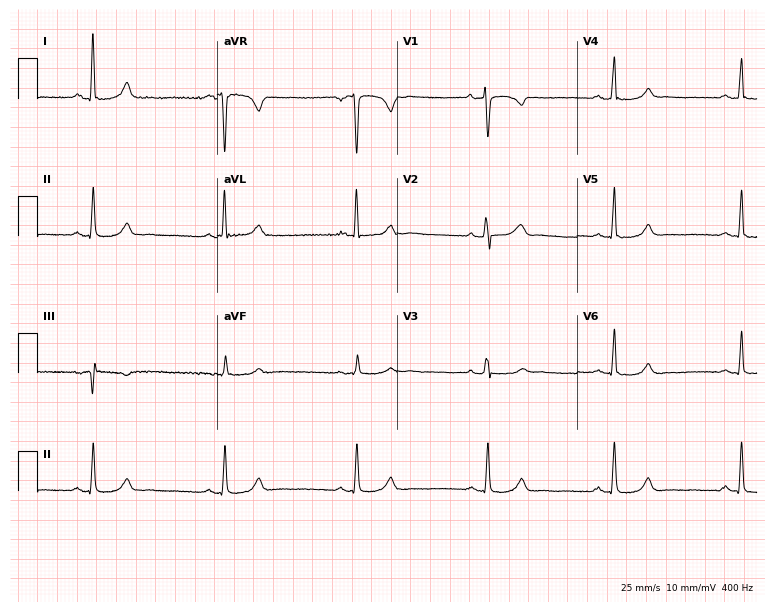
ECG (7.3-second recording at 400 Hz) — a 61-year-old female. Findings include sinus bradycardia (a sinus rate of 50 beats per minute or less).